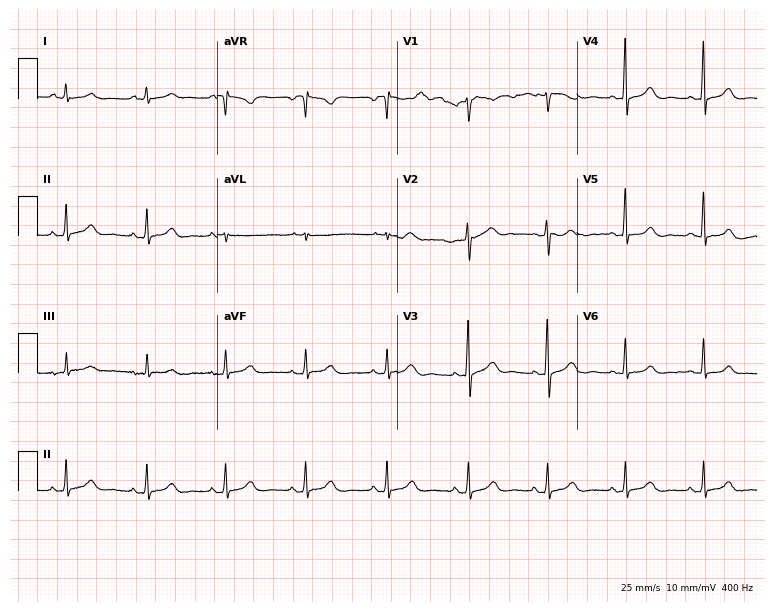
12-lead ECG from a 48-year-old woman. Labelled as a normal ECG.